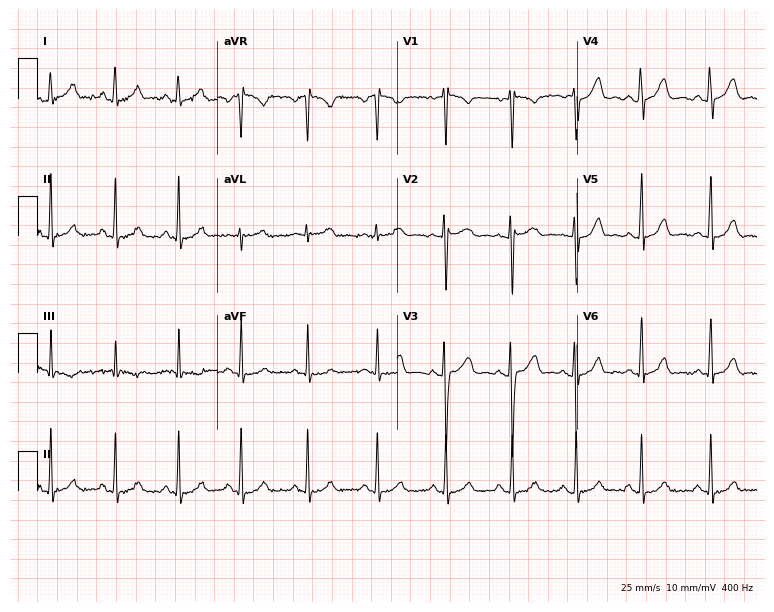
Standard 12-lead ECG recorded from a 24-year-old female (7.3-second recording at 400 Hz). None of these six findings is recorded: first-degree AV block, right bundle branch block, left bundle branch block, sinus bradycardia, atrial fibrillation, sinus tachycardia.